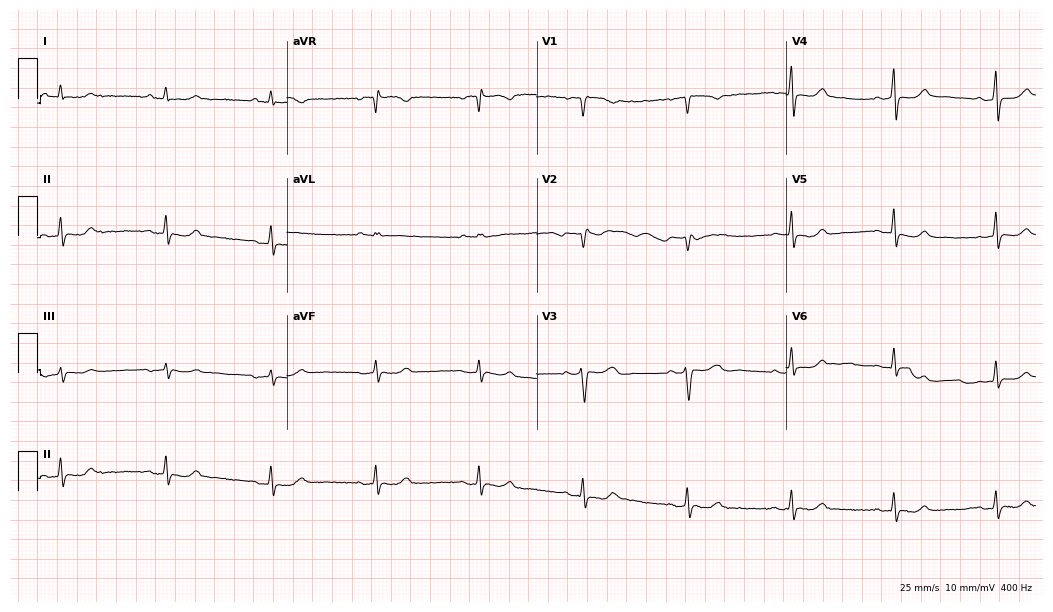
ECG (10.2-second recording at 400 Hz) — a 47-year-old woman. Screened for six findings — first-degree AV block, right bundle branch block, left bundle branch block, sinus bradycardia, atrial fibrillation, sinus tachycardia — none is recorded.